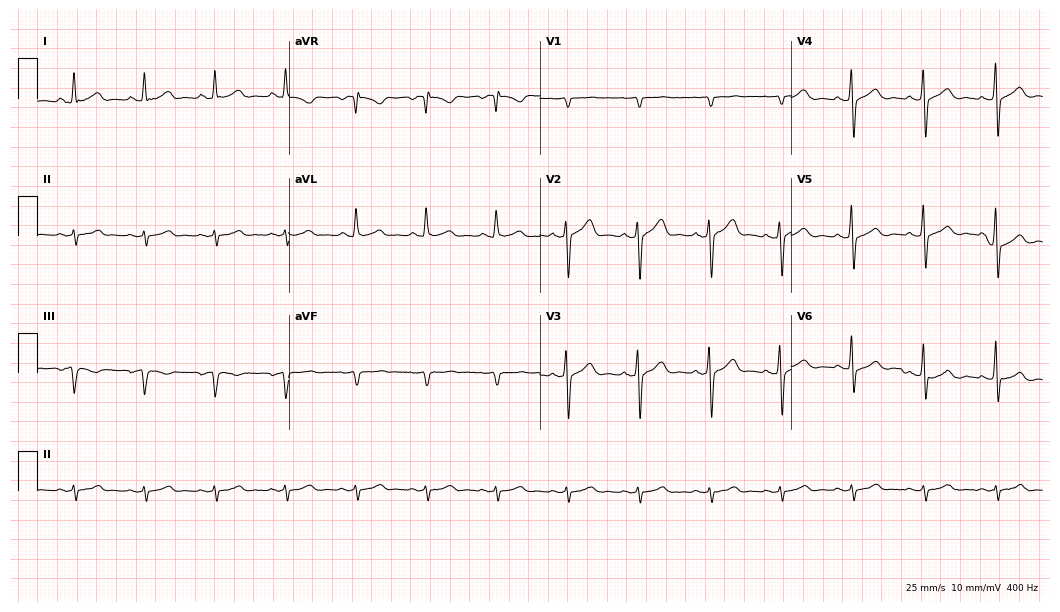
12-lead ECG from a male patient, 48 years old. Screened for six findings — first-degree AV block, right bundle branch block, left bundle branch block, sinus bradycardia, atrial fibrillation, sinus tachycardia — none is recorded. Only these six findings were labelled.